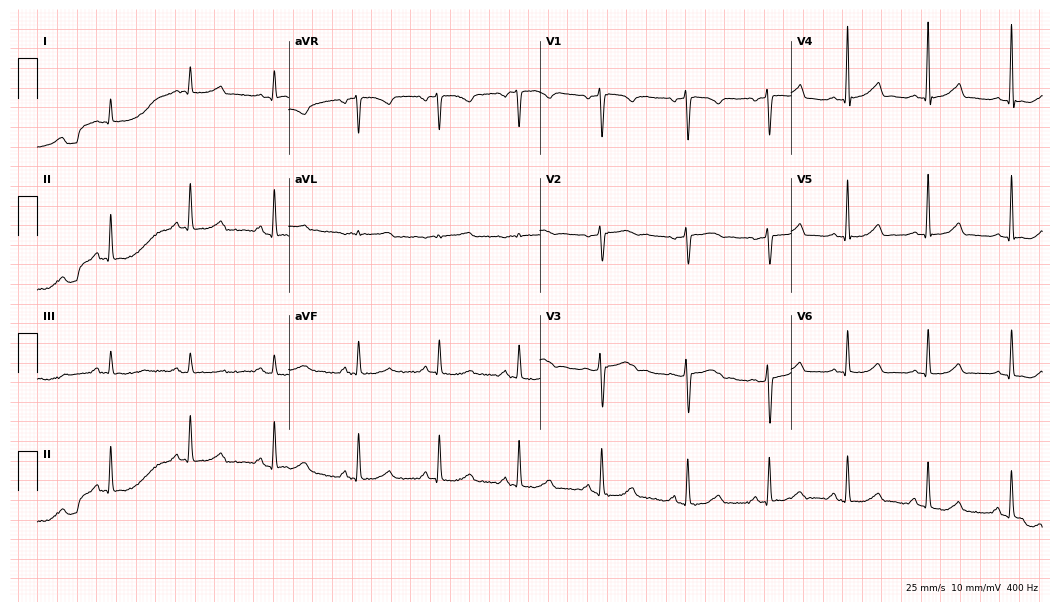
Standard 12-lead ECG recorded from a 36-year-old female patient (10.2-second recording at 400 Hz). Read as a normal ECG.